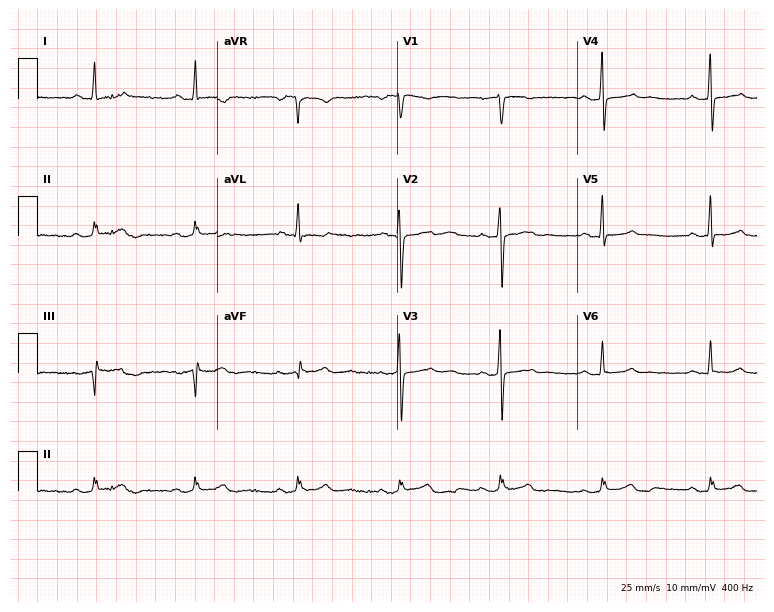
ECG (7.3-second recording at 400 Hz) — a 47-year-old female patient. Labelled as a normal ECG.